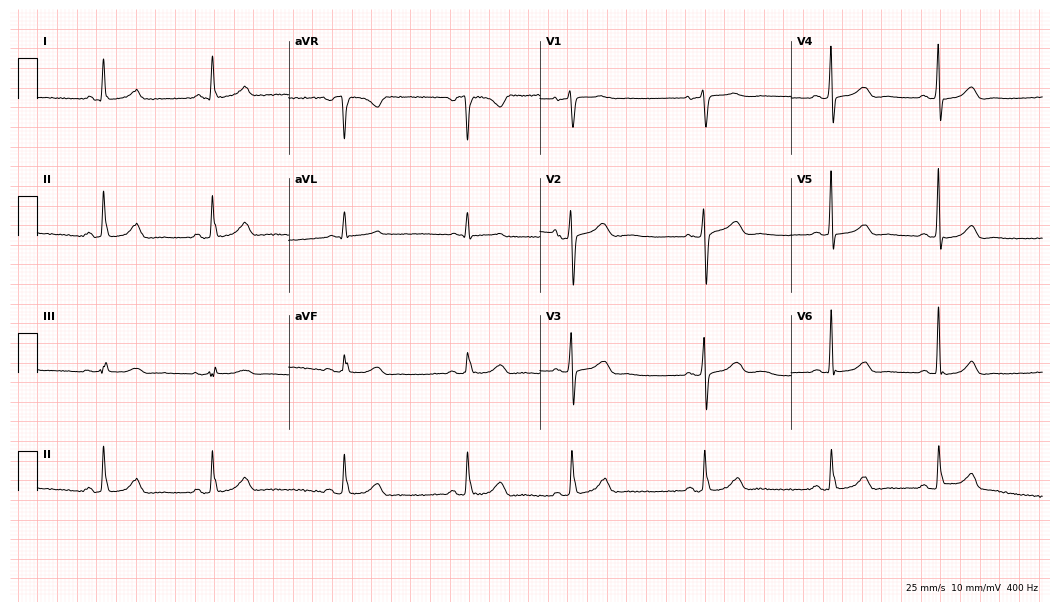
12-lead ECG from a female patient, 75 years old. Recorded interpretation: within normal limits.